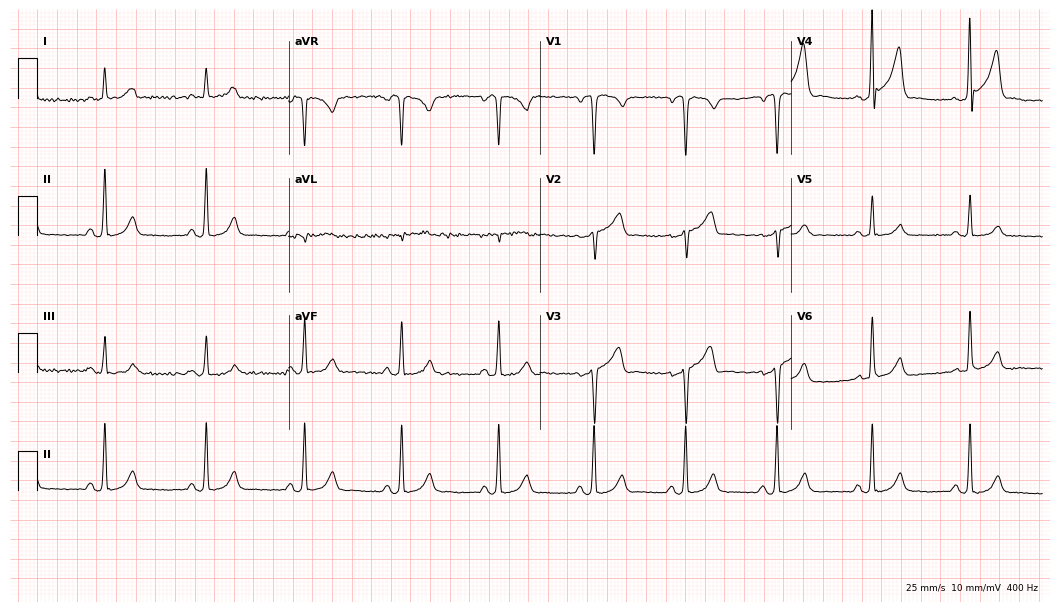
12-lead ECG from a male patient, 46 years old. Screened for six findings — first-degree AV block, right bundle branch block, left bundle branch block, sinus bradycardia, atrial fibrillation, sinus tachycardia — none is recorded. Findings outside these six are not listed.